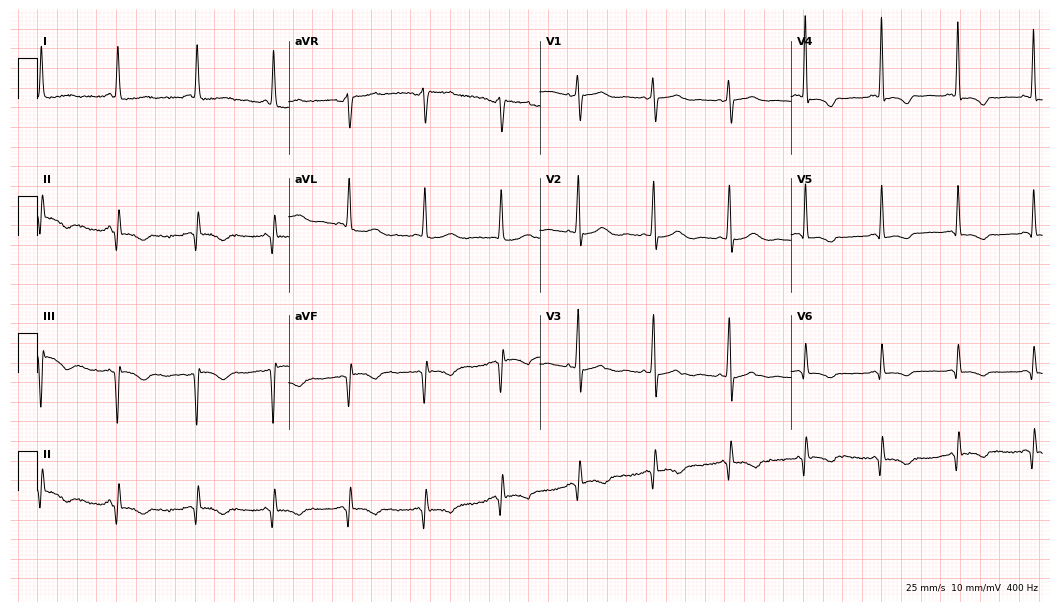
12-lead ECG from a female, 65 years old. Screened for six findings — first-degree AV block, right bundle branch block, left bundle branch block, sinus bradycardia, atrial fibrillation, sinus tachycardia — none is recorded. Only these six findings were labelled.